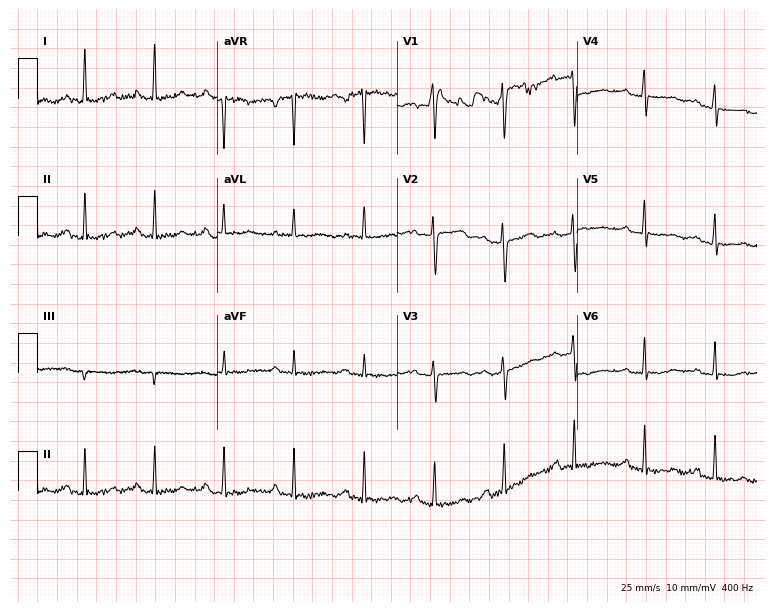
Electrocardiogram (7.3-second recording at 400 Hz), a 54-year-old woman. Of the six screened findings (first-degree AV block, right bundle branch block (RBBB), left bundle branch block (LBBB), sinus bradycardia, atrial fibrillation (AF), sinus tachycardia), none is recorded. Other findings, if any, are not listed.